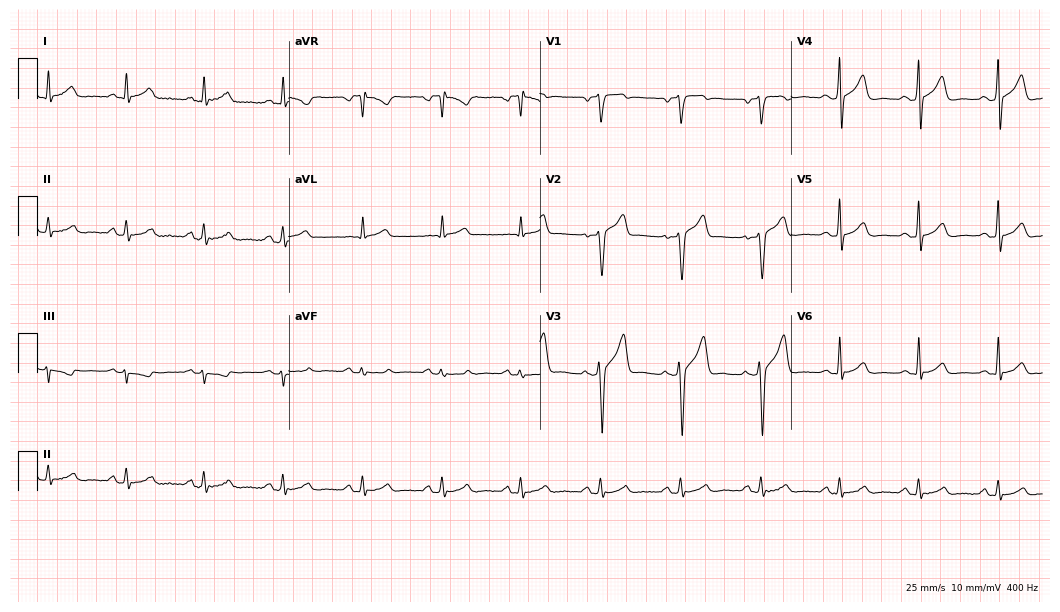
Electrocardiogram, a 46-year-old male patient. Overall reading on record: normal ECG.